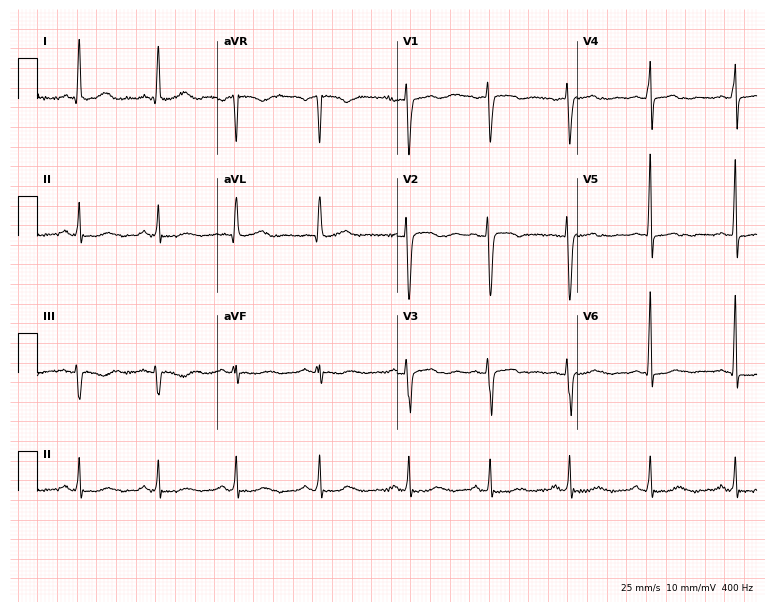
12-lead ECG from a 42-year-old female patient (7.3-second recording at 400 Hz). Recorded interpretation: within normal limits.